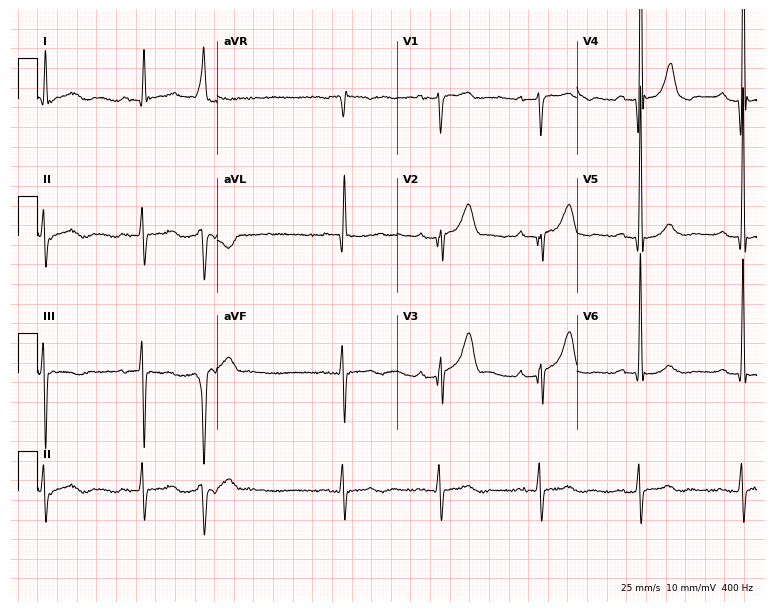
12-lead ECG from an 85-year-old male. Screened for six findings — first-degree AV block, right bundle branch block, left bundle branch block, sinus bradycardia, atrial fibrillation, sinus tachycardia — none is recorded.